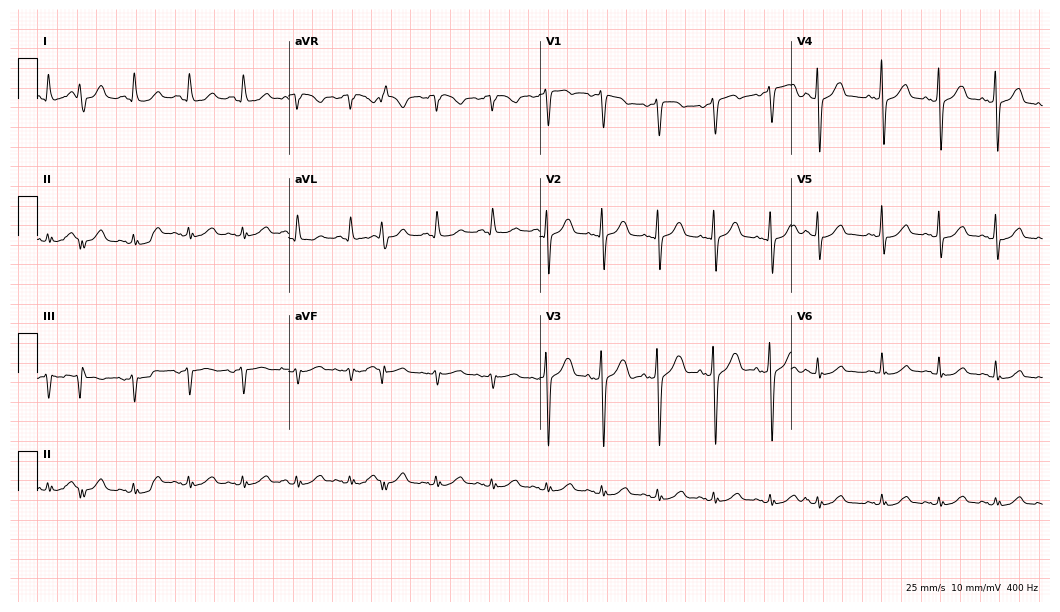
Electrocardiogram, a male, 66 years old. Interpretation includes sinus tachycardia (a sinus rate of 100 beats per minute or more).